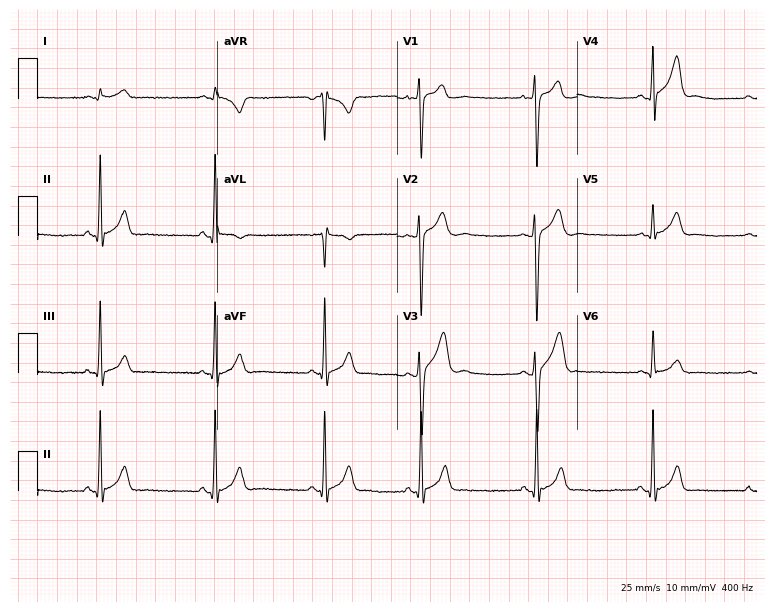
Standard 12-lead ECG recorded from a man, 18 years old. None of these six findings is recorded: first-degree AV block, right bundle branch block (RBBB), left bundle branch block (LBBB), sinus bradycardia, atrial fibrillation (AF), sinus tachycardia.